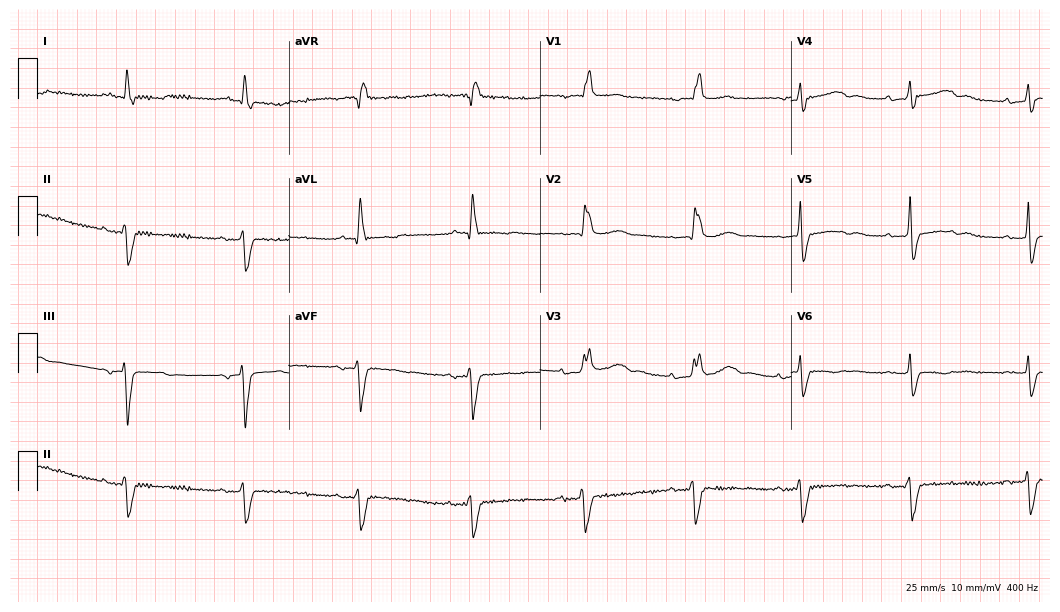
ECG (10.2-second recording at 400 Hz) — a female patient, 73 years old. Findings include right bundle branch block.